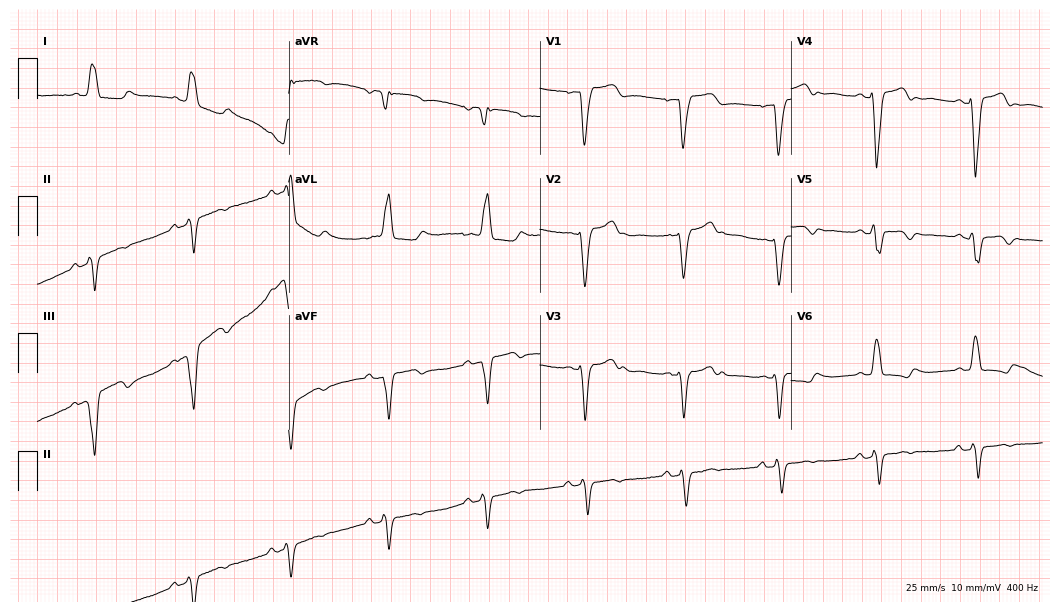
ECG (10.2-second recording at 400 Hz) — a 75-year-old woman. Findings include left bundle branch block.